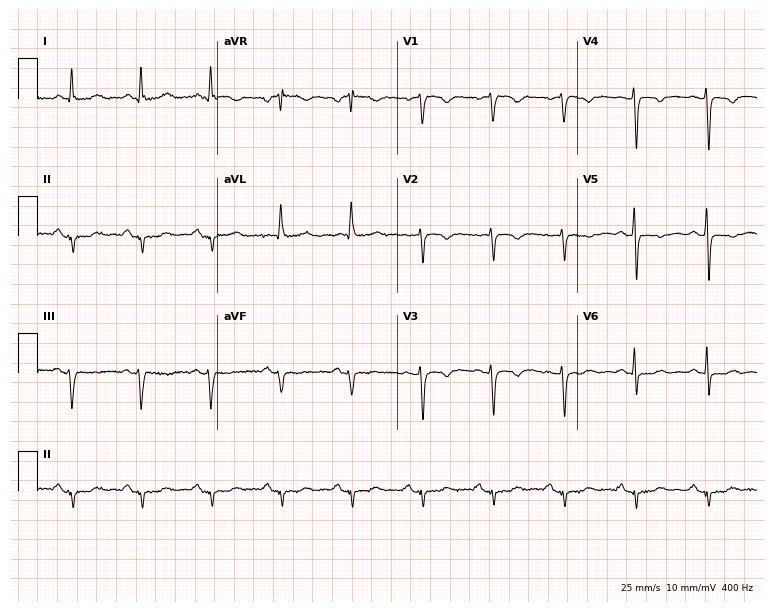
Standard 12-lead ECG recorded from a woman, 75 years old. None of these six findings is recorded: first-degree AV block, right bundle branch block (RBBB), left bundle branch block (LBBB), sinus bradycardia, atrial fibrillation (AF), sinus tachycardia. Only these six findings were labelled.